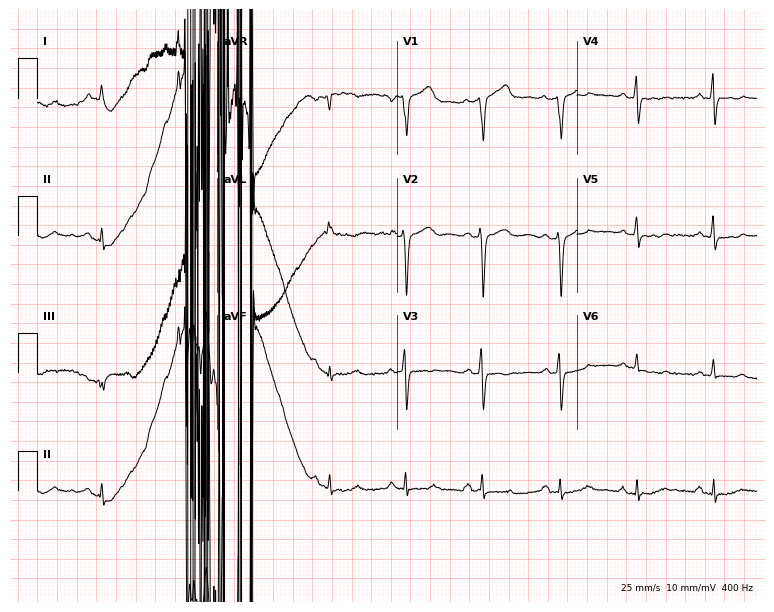
ECG — a 72-year-old male. Screened for six findings — first-degree AV block, right bundle branch block (RBBB), left bundle branch block (LBBB), sinus bradycardia, atrial fibrillation (AF), sinus tachycardia — none is recorded. Other findings, if any, are not listed.